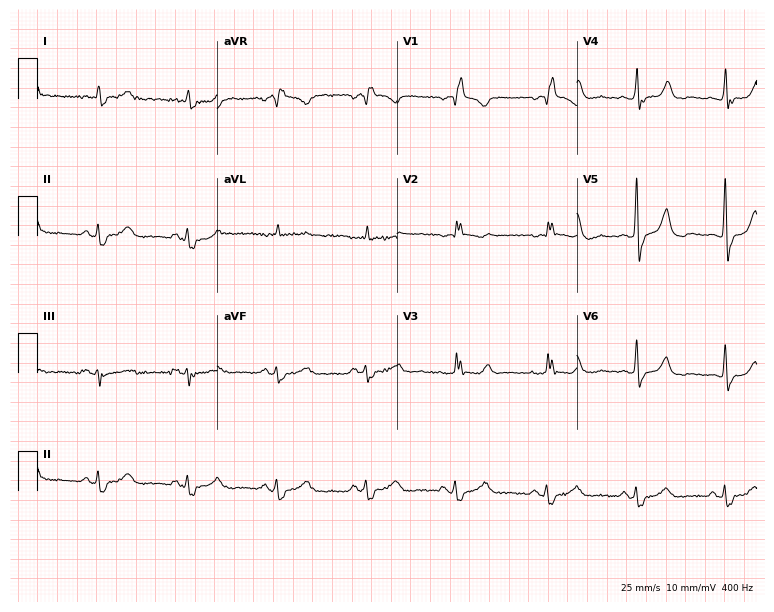
12-lead ECG from a 72-year-old male. Findings include right bundle branch block.